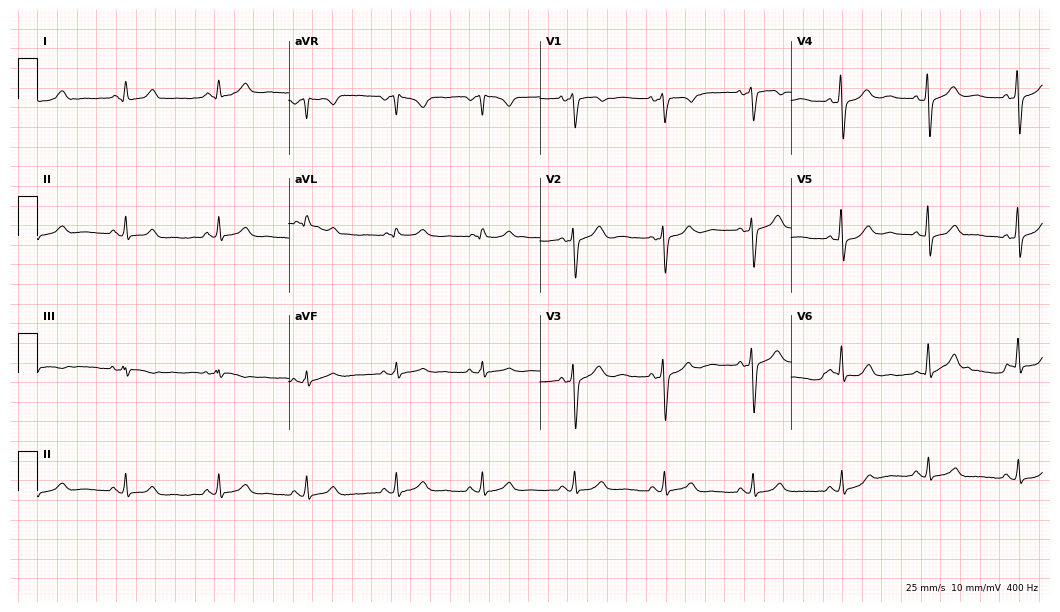
Standard 12-lead ECG recorded from a female, 39 years old (10.2-second recording at 400 Hz). Read as a normal ECG.